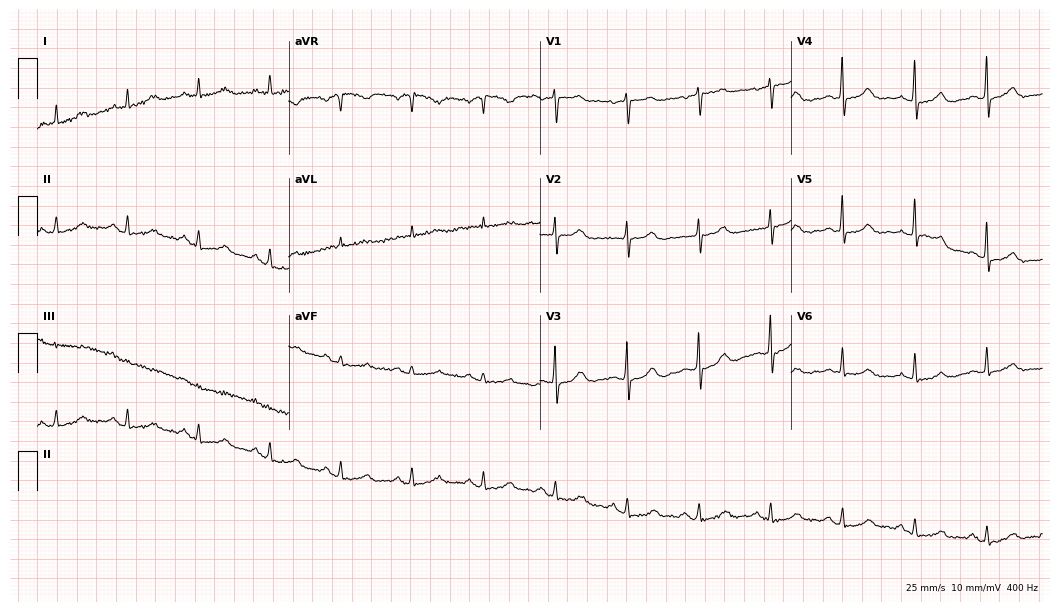
Resting 12-lead electrocardiogram (10.2-second recording at 400 Hz). Patient: a female, 84 years old. None of these six findings is recorded: first-degree AV block, right bundle branch block, left bundle branch block, sinus bradycardia, atrial fibrillation, sinus tachycardia.